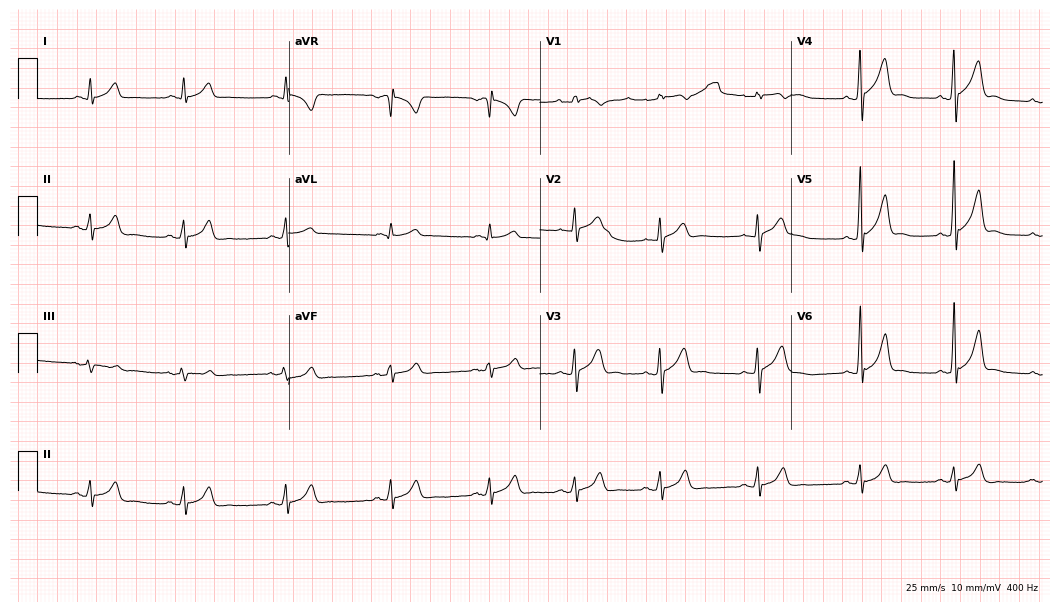
Resting 12-lead electrocardiogram (10.2-second recording at 400 Hz). Patient: a 25-year-old male. Read as a normal ECG.